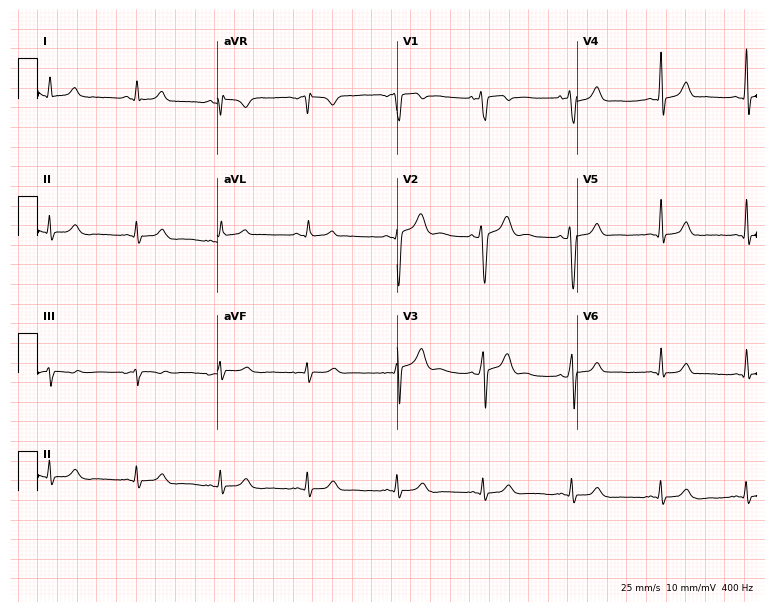
Resting 12-lead electrocardiogram. Patient: a 22-year-old male. None of these six findings is recorded: first-degree AV block, right bundle branch block, left bundle branch block, sinus bradycardia, atrial fibrillation, sinus tachycardia.